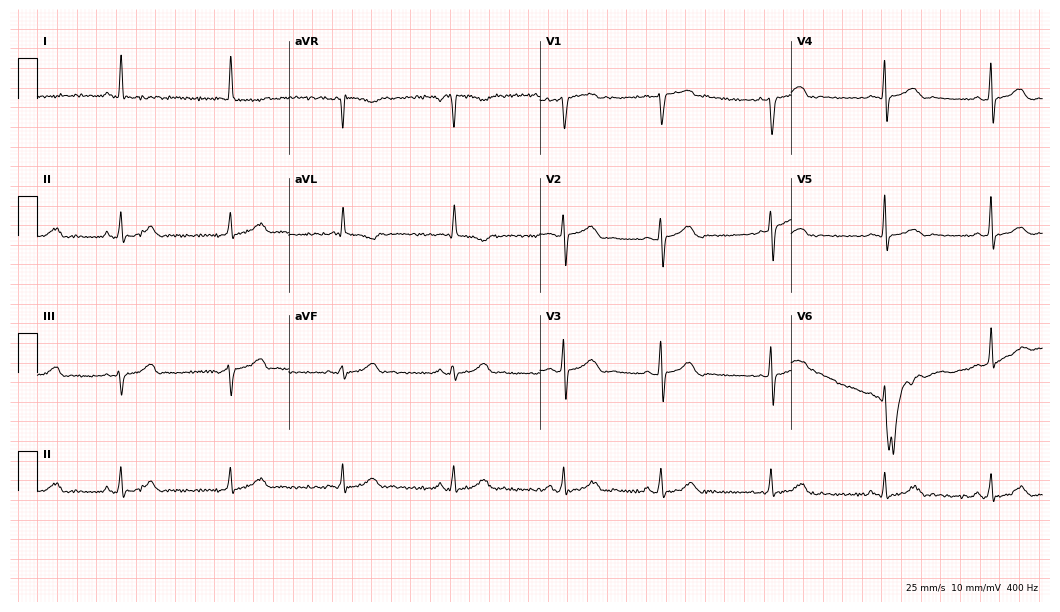
12-lead ECG from a 67-year-old woman. Screened for six findings — first-degree AV block, right bundle branch block, left bundle branch block, sinus bradycardia, atrial fibrillation, sinus tachycardia — none is recorded. Other findings, if any, are not listed.